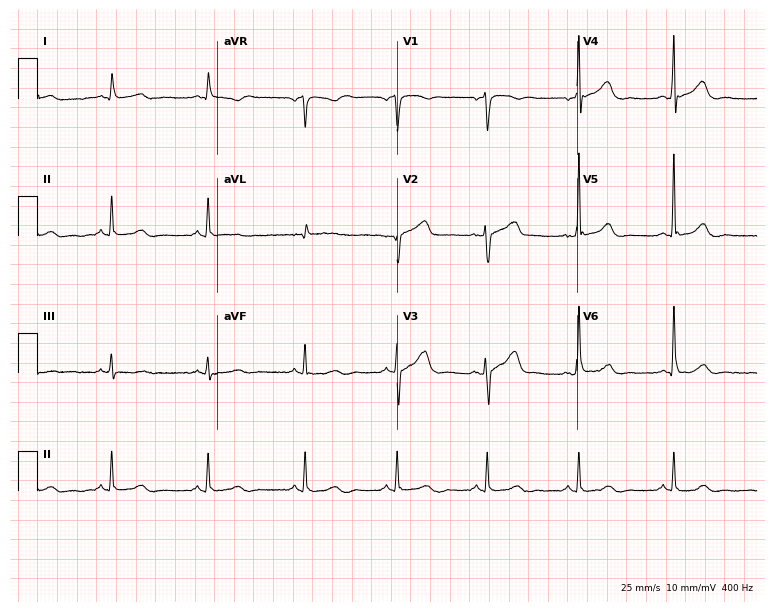
Standard 12-lead ECG recorded from a male, 63 years old. None of these six findings is recorded: first-degree AV block, right bundle branch block, left bundle branch block, sinus bradycardia, atrial fibrillation, sinus tachycardia. Only these six findings were labelled.